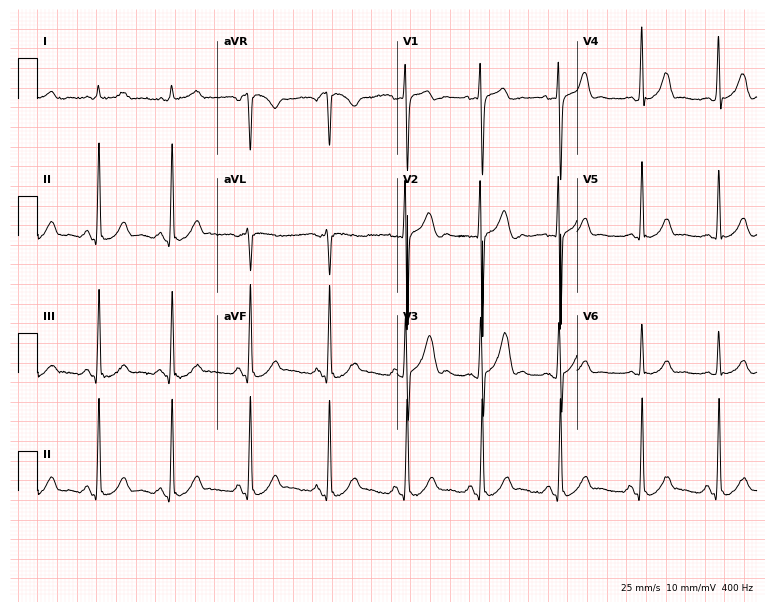
Standard 12-lead ECG recorded from a male patient, 30 years old (7.3-second recording at 400 Hz). Read as a normal ECG.